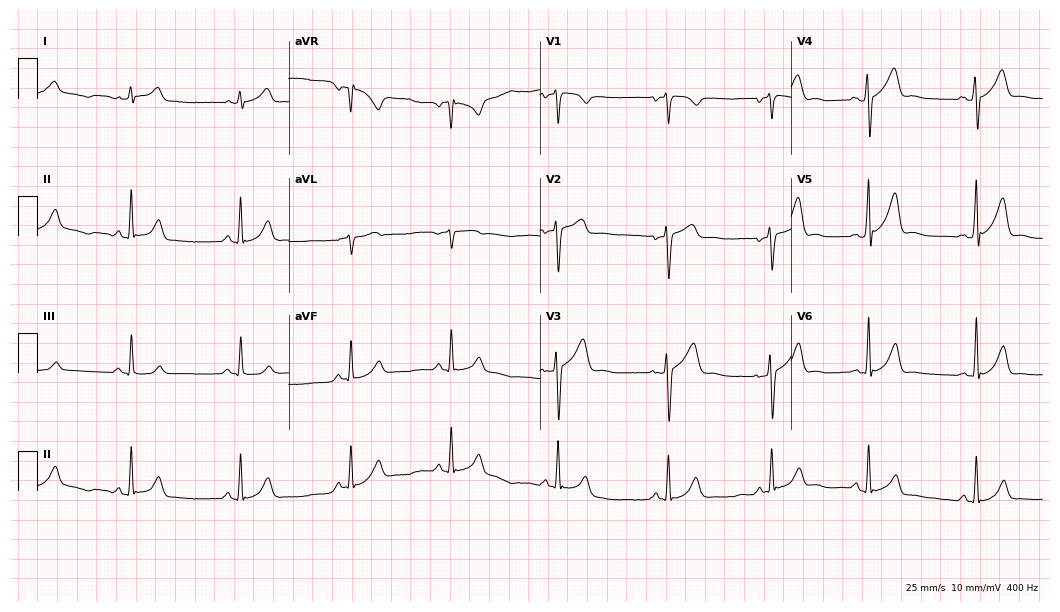
12-lead ECG from a 19-year-old male patient. Screened for six findings — first-degree AV block, right bundle branch block, left bundle branch block, sinus bradycardia, atrial fibrillation, sinus tachycardia — none is recorded. Other findings, if any, are not listed.